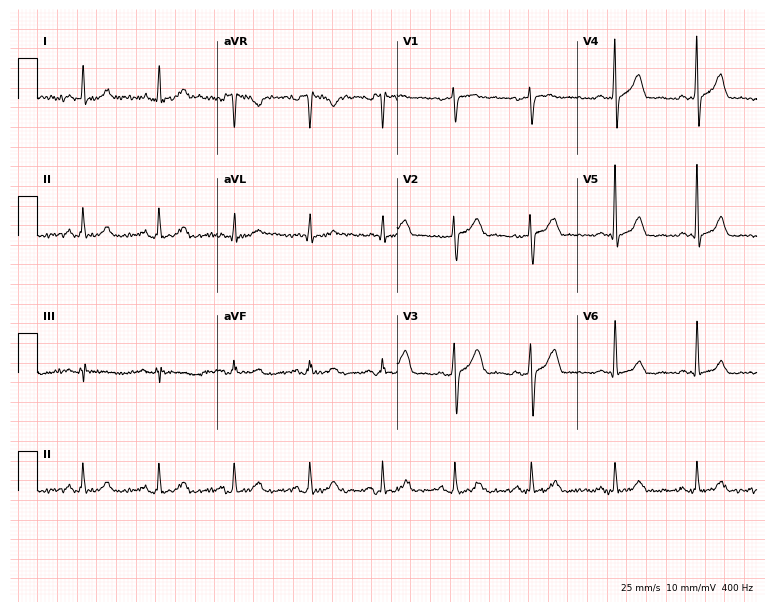
Standard 12-lead ECG recorded from a 52-year-old male patient (7.3-second recording at 400 Hz). None of these six findings is recorded: first-degree AV block, right bundle branch block (RBBB), left bundle branch block (LBBB), sinus bradycardia, atrial fibrillation (AF), sinus tachycardia. Only these six findings were labelled.